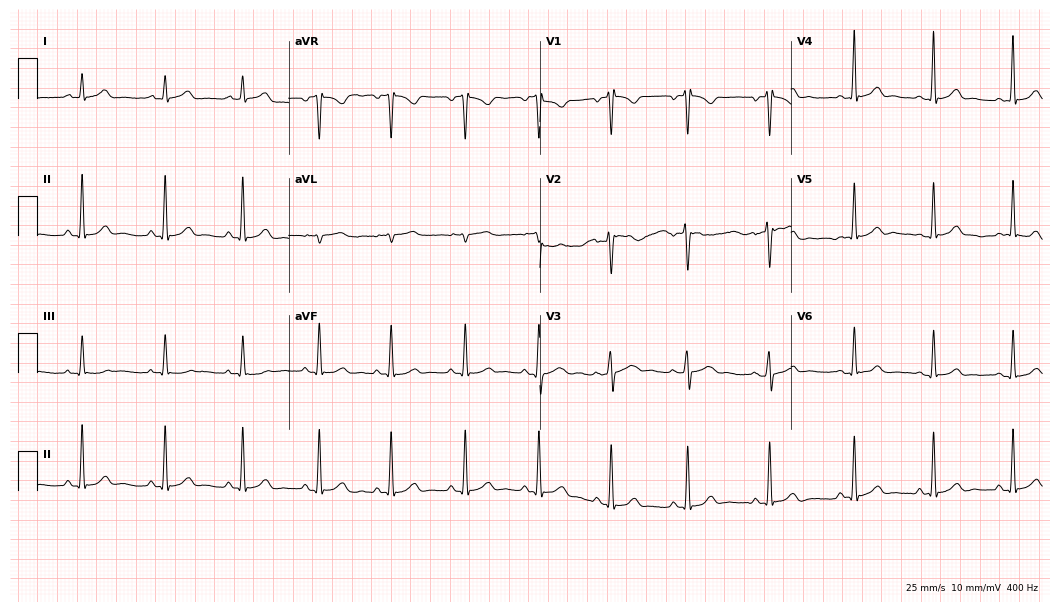
12-lead ECG (10.2-second recording at 400 Hz) from a 26-year-old female. Screened for six findings — first-degree AV block, right bundle branch block, left bundle branch block, sinus bradycardia, atrial fibrillation, sinus tachycardia — none is recorded.